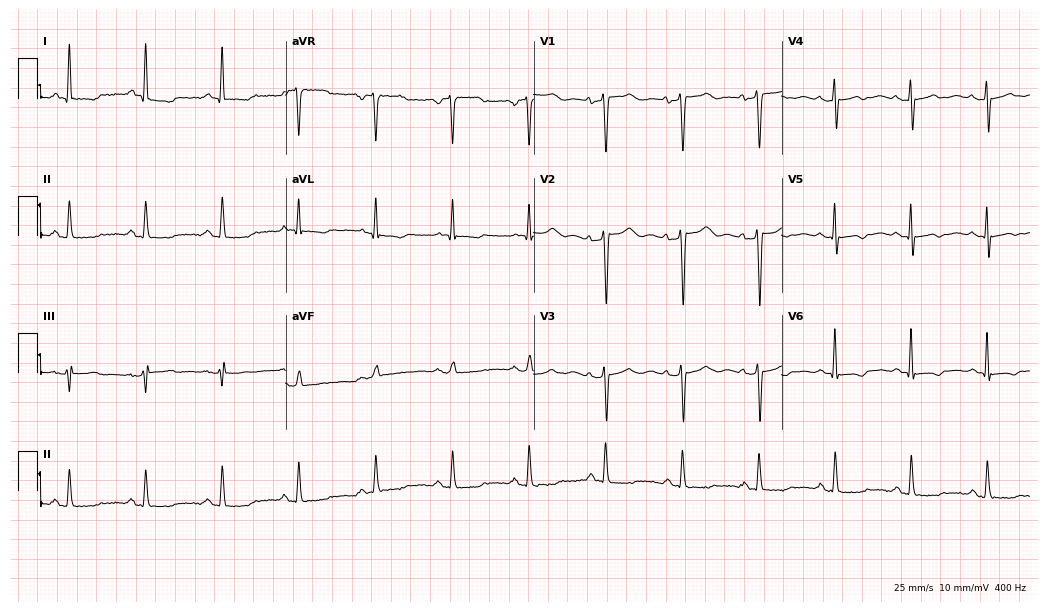
Electrocardiogram (10.1-second recording at 400 Hz), a female patient, 66 years old. Of the six screened findings (first-degree AV block, right bundle branch block, left bundle branch block, sinus bradycardia, atrial fibrillation, sinus tachycardia), none is recorded.